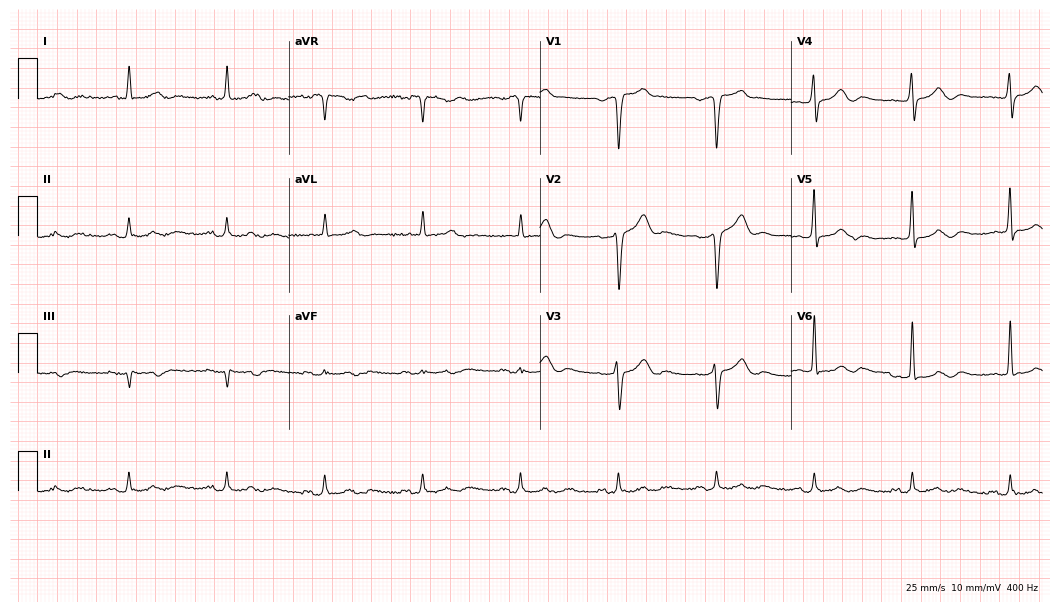
Resting 12-lead electrocardiogram. Patient: a 52-year-old male. Read as a normal ECG.